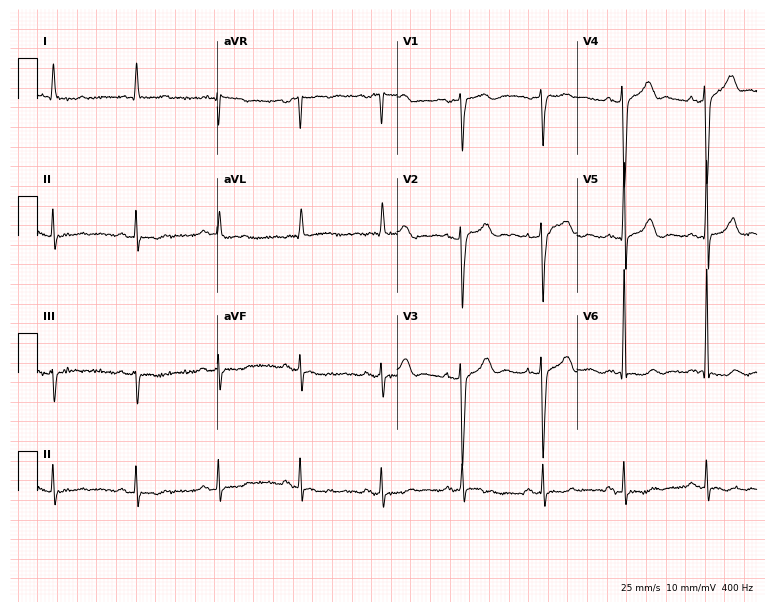
ECG (7.3-second recording at 400 Hz) — a 75-year-old man. Screened for six findings — first-degree AV block, right bundle branch block (RBBB), left bundle branch block (LBBB), sinus bradycardia, atrial fibrillation (AF), sinus tachycardia — none is recorded.